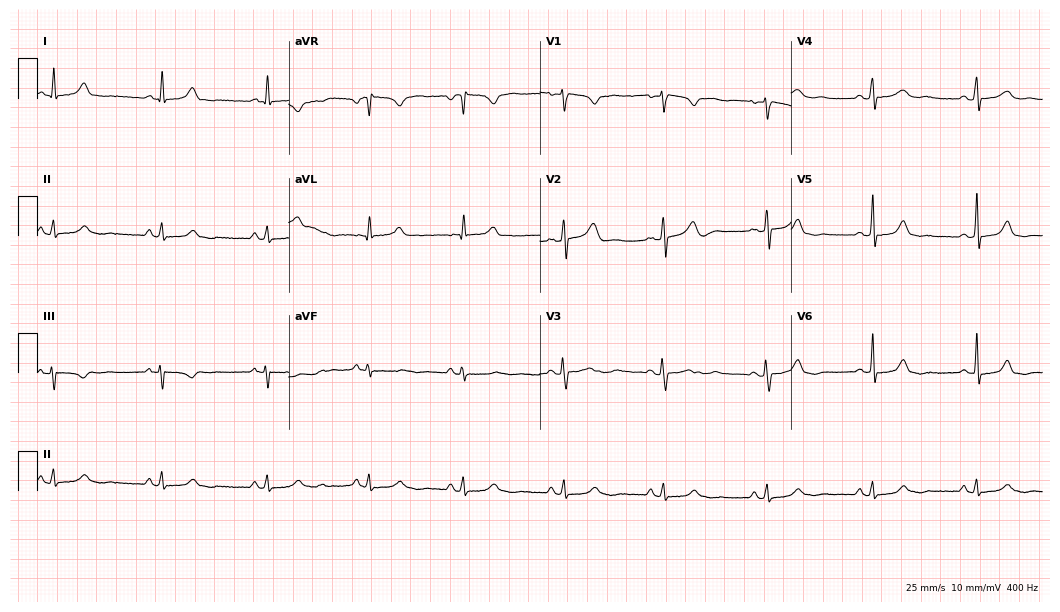
Resting 12-lead electrocardiogram. Patient: a female, 26 years old. Read as a normal ECG.